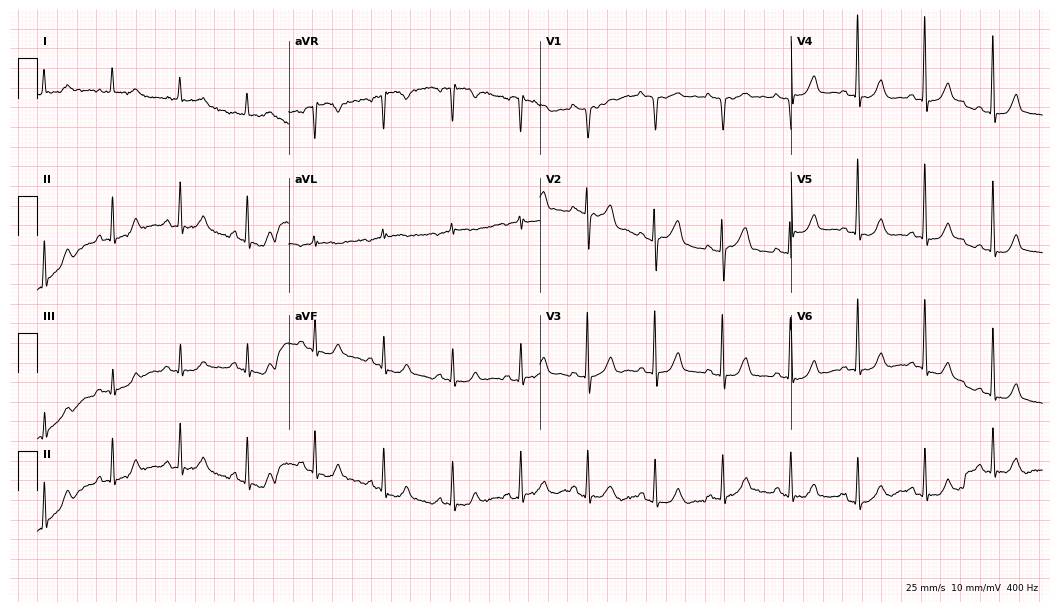
Resting 12-lead electrocardiogram (10.2-second recording at 400 Hz). Patient: an 83-year-old female. None of these six findings is recorded: first-degree AV block, right bundle branch block, left bundle branch block, sinus bradycardia, atrial fibrillation, sinus tachycardia.